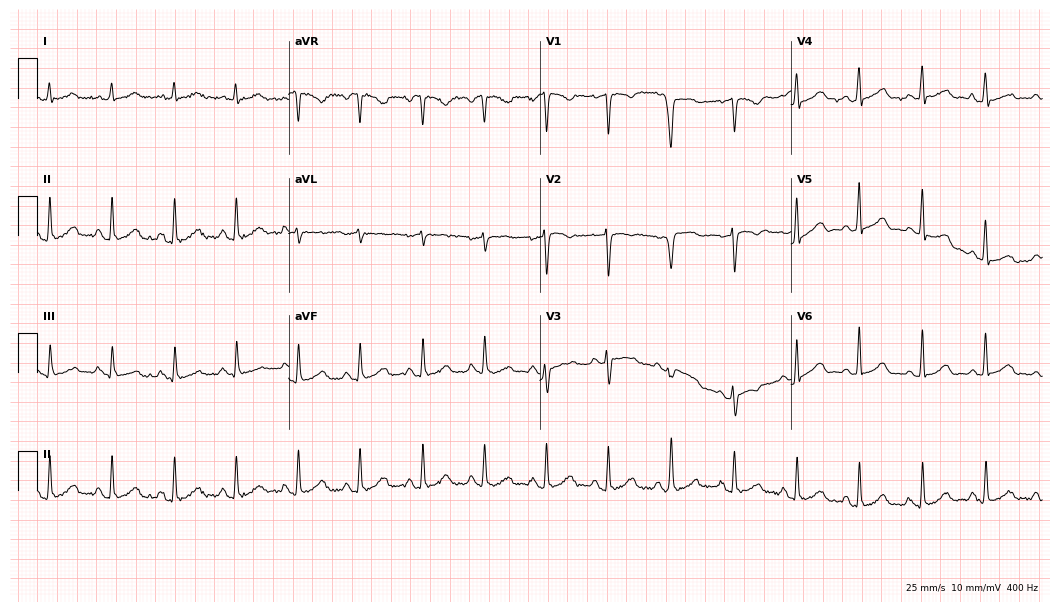
ECG — a female patient, 60 years old. Labelled as a normal ECG.